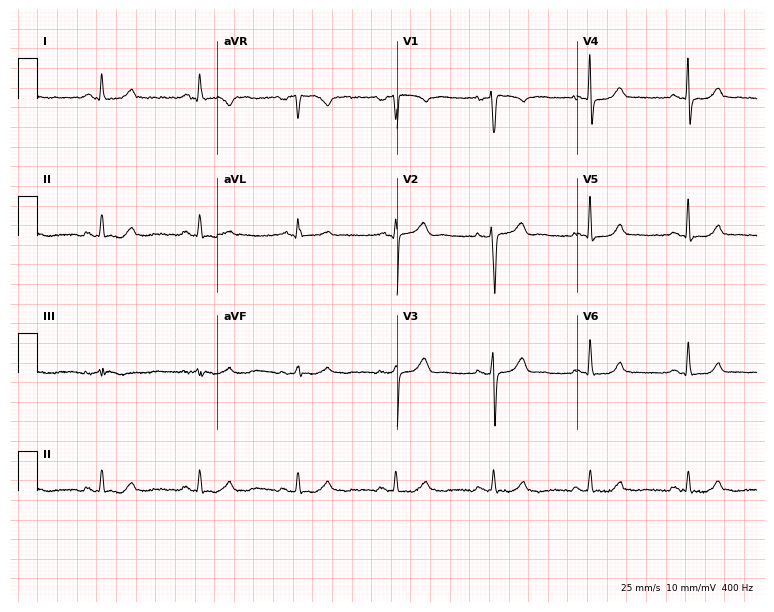
Electrocardiogram (7.3-second recording at 400 Hz), a 65-year-old female. Overall reading on record: normal ECG.